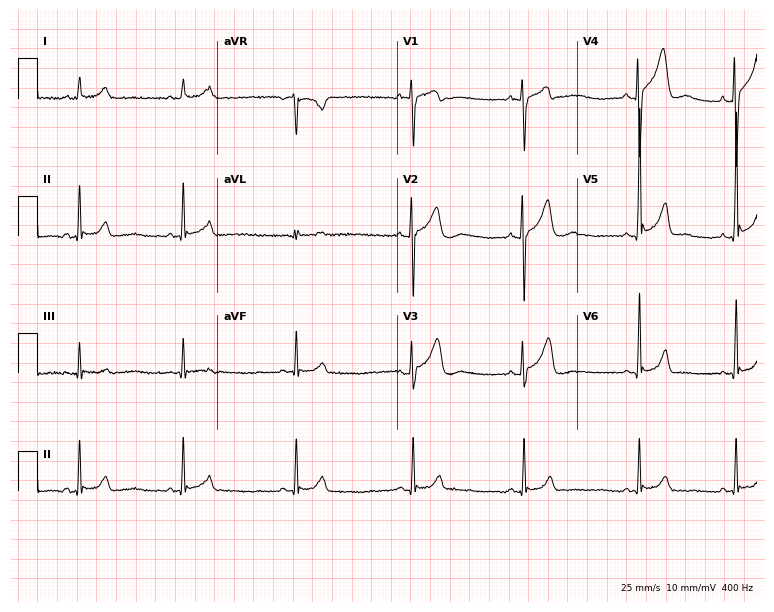
Standard 12-lead ECG recorded from a male patient, 19 years old (7.3-second recording at 400 Hz). Read as a normal ECG.